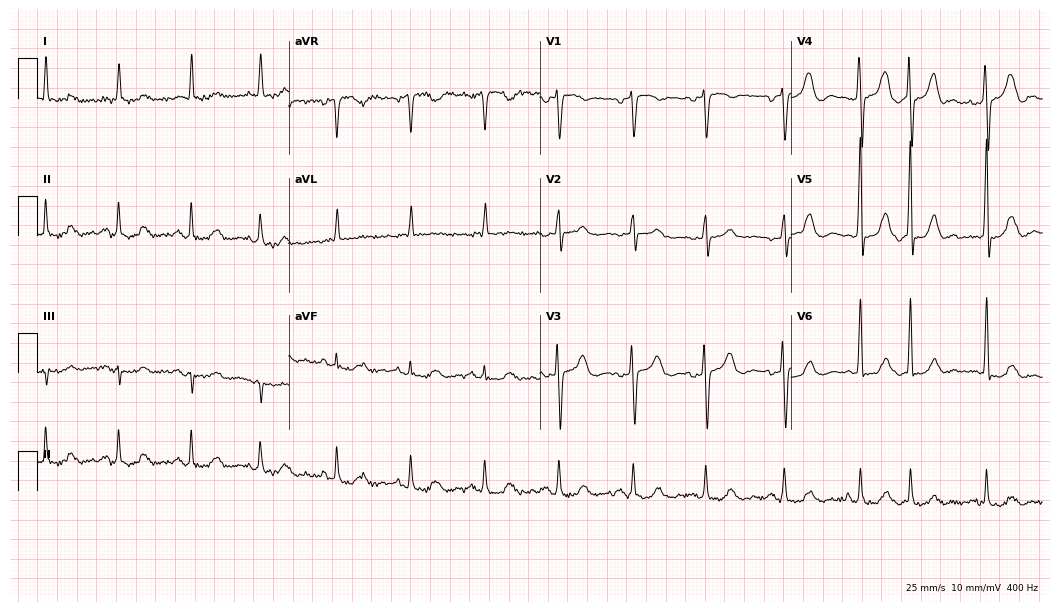
Resting 12-lead electrocardiogram (10.2-second recording at 400 Hz). Patient: a 73-year-old man. Read as a normal ECG.